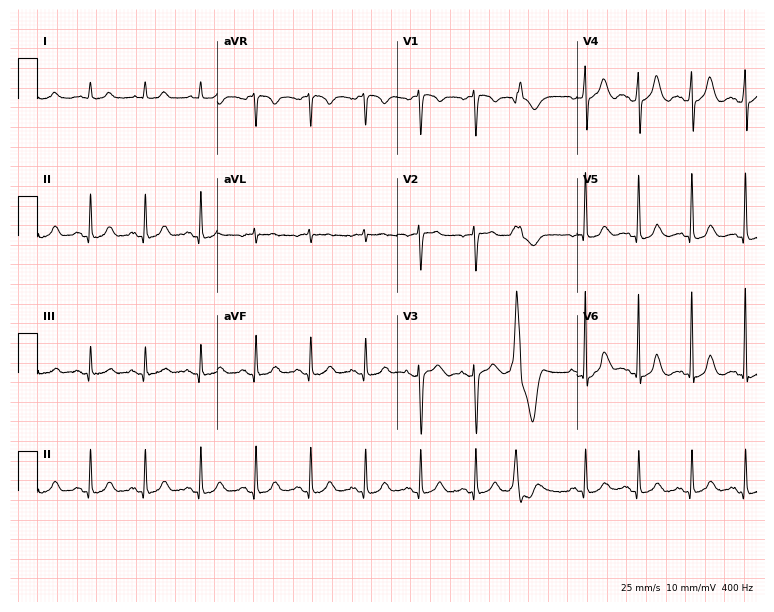
12-lead ECG from a female patient, 64 years old. Shows sinus tachycardia (a sinus rate of 100 beats per minute or more).